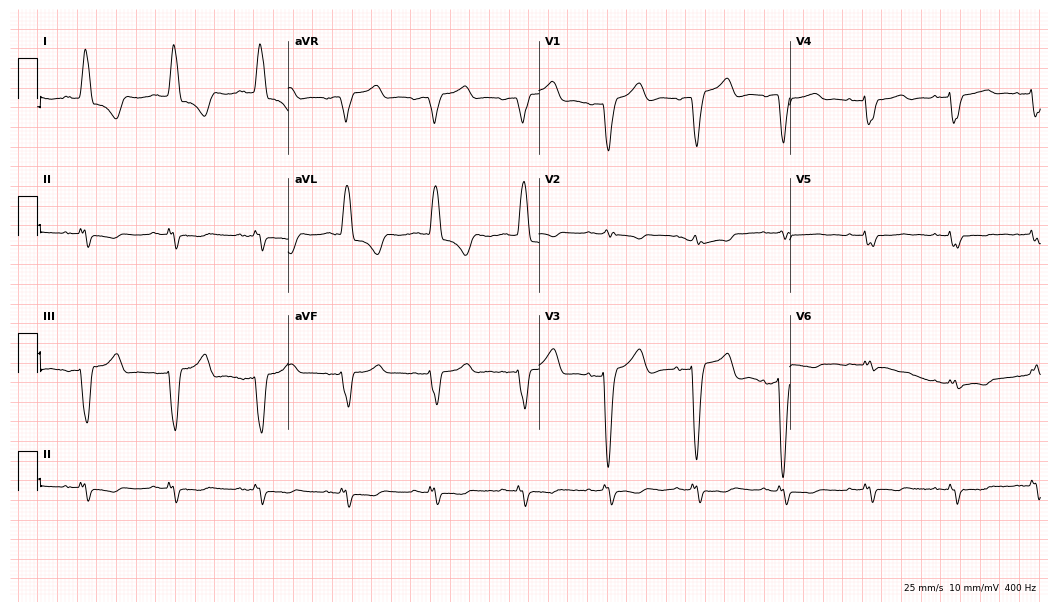
Resting 12-lead electrocardiogram. Patient: a female, 78 years old. The tracing shows left bundle branch block (LBBB).